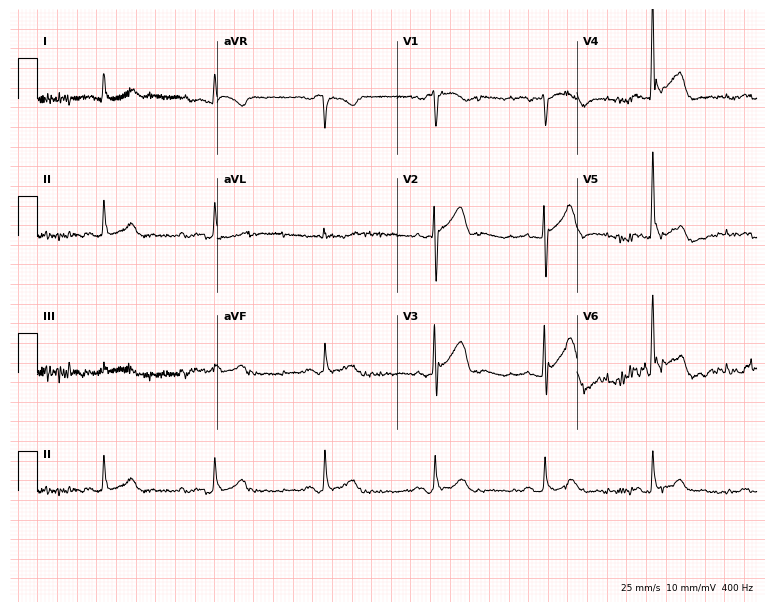
Resting 12-lead electrocardiogram. Patient: a 65-year-old male. Read as a normal ECG.